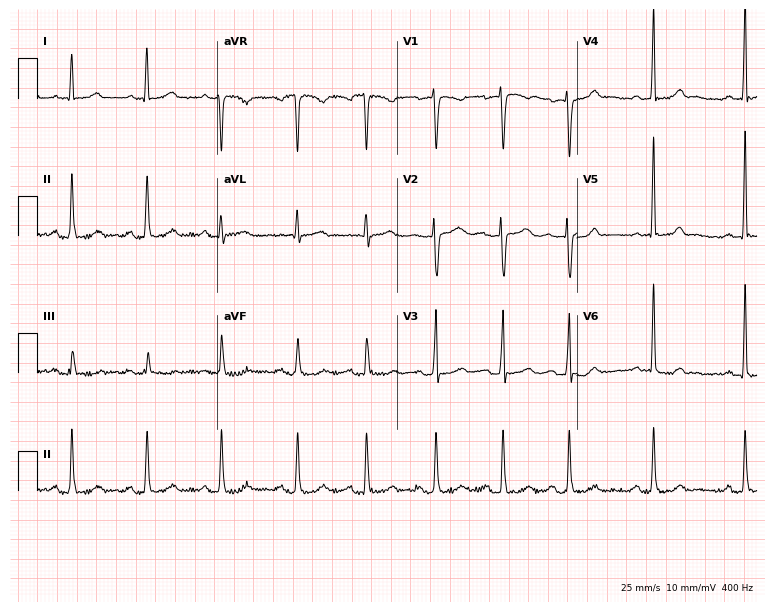
12-lead ECG from a 34-year-old female (7.3-second recording at 400 Hz). No first-degree AV block, right bundle branch block, left bundle branch block, sinus bradycardia, atrial fibrillation or sinus tachycardia recorded for this tracing.